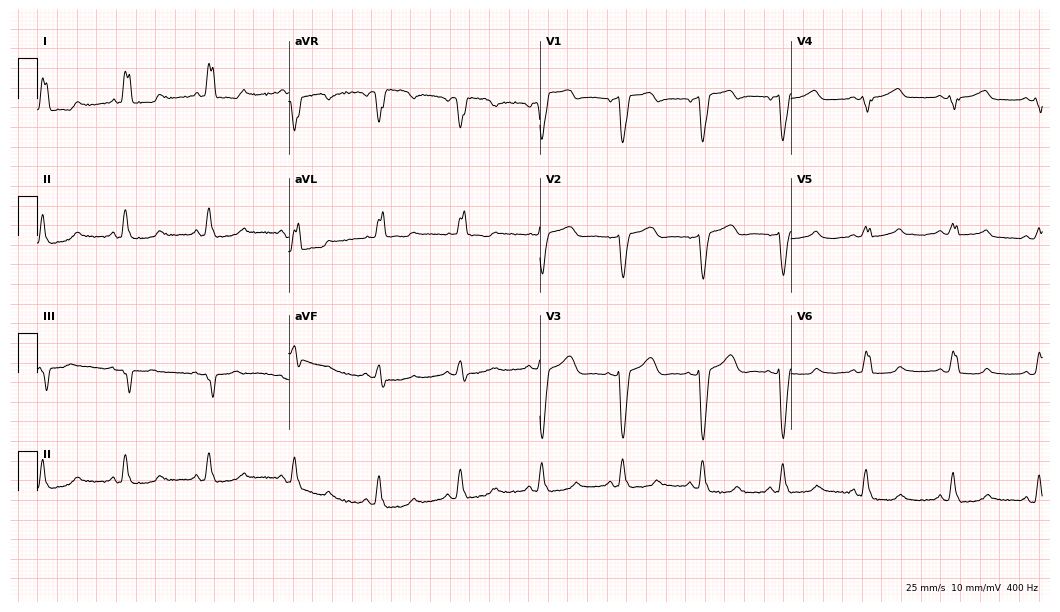
12-lead ECG from a woman, 62 years old (10.2-second recording at 400 Hz). No first-degree AV block, right bundle branch block, left bundle branch block, sinus bradycardia, atrial fibrillation or sinus tachycardia recorded for this tracing.